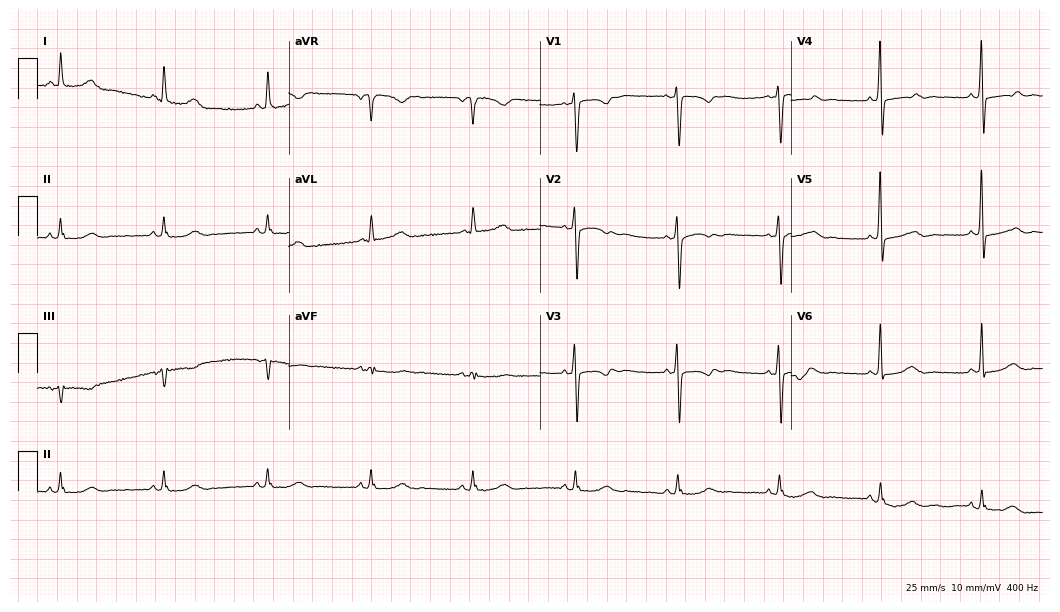
Resting 12-lead electrocardiogram. Patient: a female, 75 years old. None of these six findings is recorded: first-degree AV block, right bundle branch block, left bundle branch block, sinus bradycardia, atrial fibrillation, sinus tachycardia. Other findings, if any, are not listed.